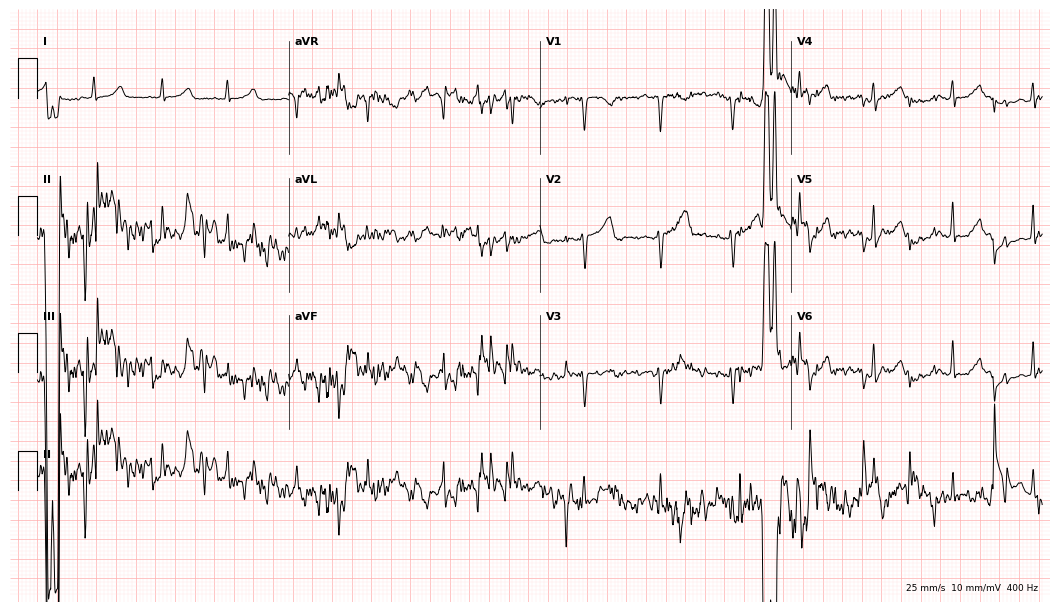
Resting 12-lead electrocardiogram (10.2-second recording at 400 Hz). Patient: a female, 21 years old. None of these six findings is recorded: first-degree AV block, right bundle branch block, left bundle branch block, sinus bradycardia, atrial fibrillation, sinus tachycardia. Other findings, if any, are not listed.